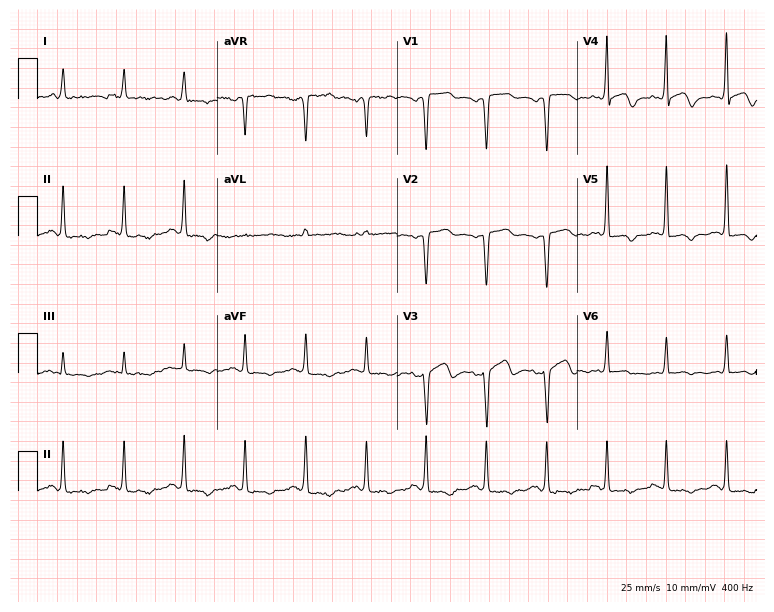
ECG (7.3-second recording at 400 Hz) — a 63-year-old female. Screened for six findings — first-degree AV block, right bundle branch block (RBBB), left bundle branch block (LBBB), sinus bradycardia, atrial fibrillation (AF), sinus tachycardia — none is recorded.